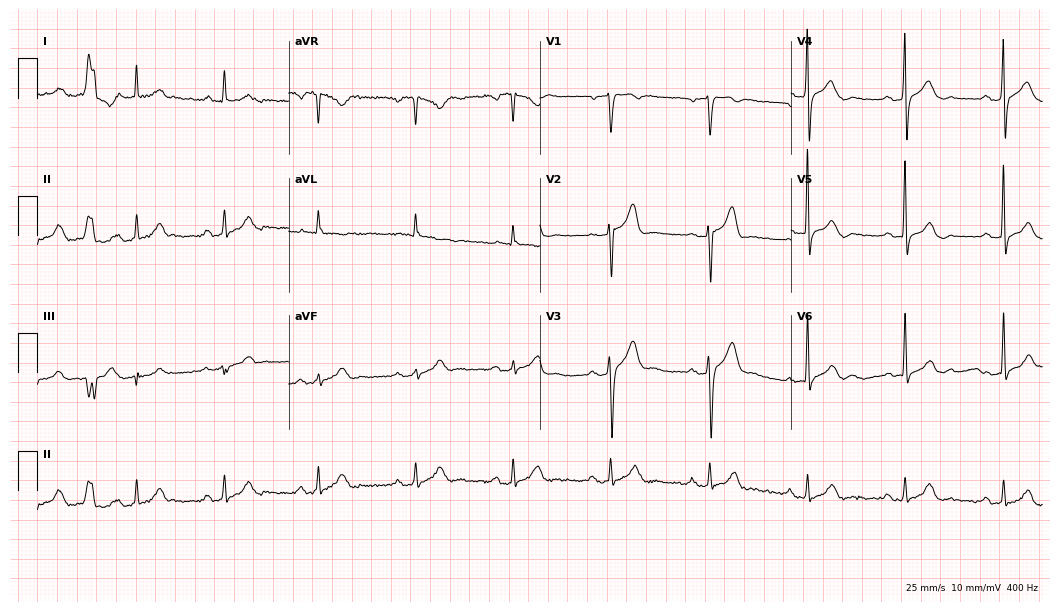
Standard 12-lead ECG recorded from a male patient, 61 years old (10.2-second recording at 400 Hz). None of these six findings is recorded: first-degree AV block, right bundle branch block (RBBB), left bundle branch block (LBBB), sinus bradycardia, atrial fibrillation (AF), sinus tachycardia.